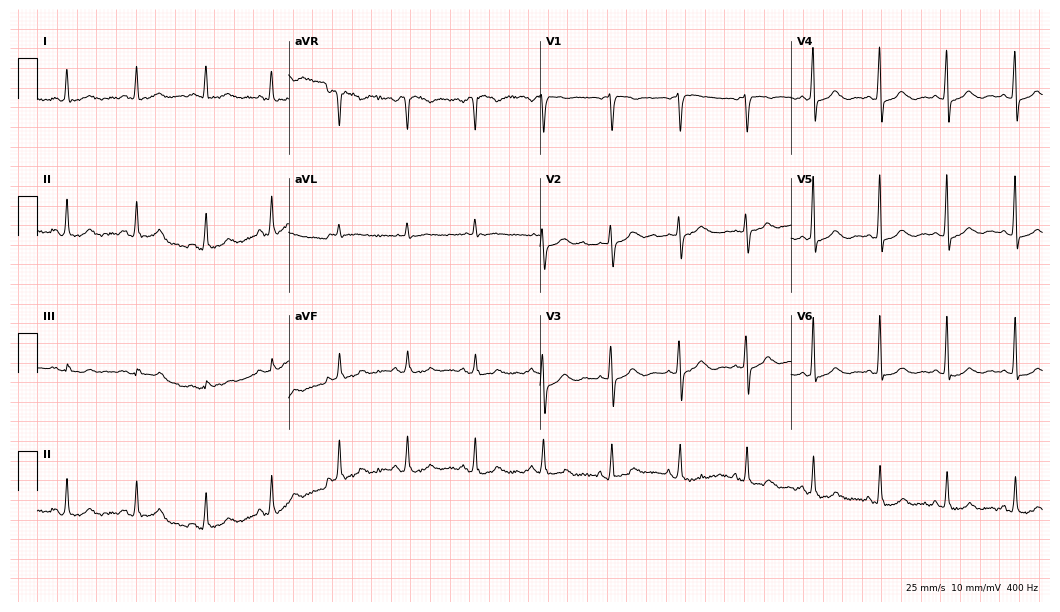
12-lead ECG from a 73-year-old female patient. Screened for six findings — first-degree AV block, right bundle branch block (RBBB), left bundle branch block (LBBB), sinus bradycardia, atrial fibrillation (AF), sinus tachycardia — none is recorded. Findings outside these six are not listed.